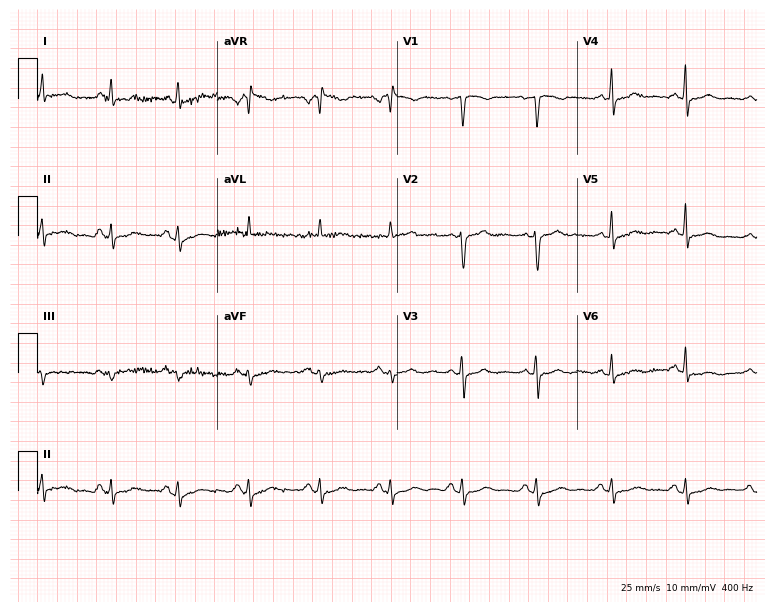
ECG (7.3-second recording at 400 Hz) — a female, 48 years old. Screened for six findings — first-degree AV block, right bundle branch block, left bundle branch block, sinus bradycardia, atrial fibrillation, sinus tachycardia — none is recorded.